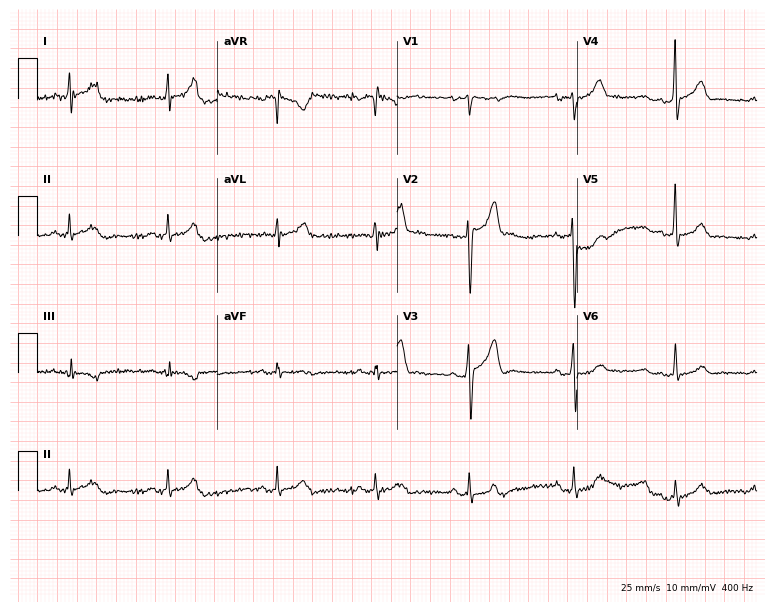
ECG — a male, 22 years old. Screened for six findings — first-degree AV block, right bundle branch block, left bundle branch block, sinus bradycardia, atrial fibrillation, sinus tachycardia — none is recorded. Only these six findings were labelled.